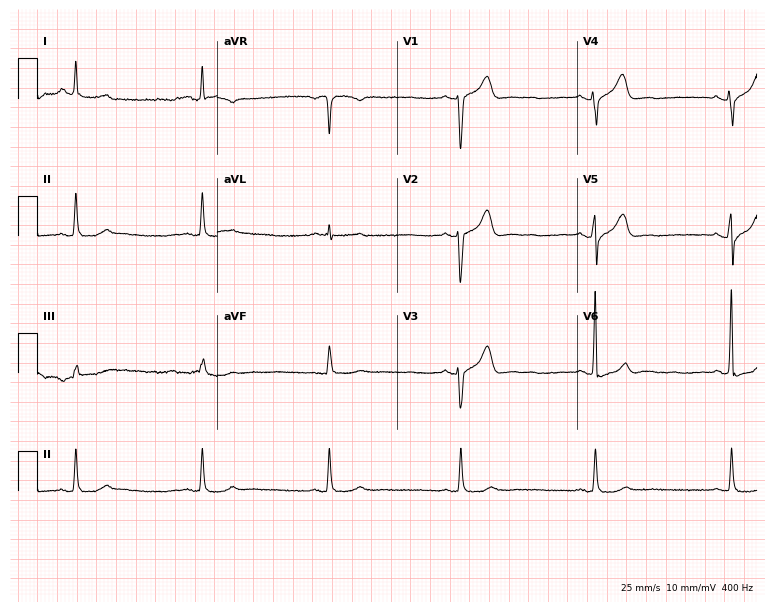
Electrocardiogram, a 62-year-old man. Interpretation includes sinus bradycardia (a sinus rate of 50 beats per minute or less).